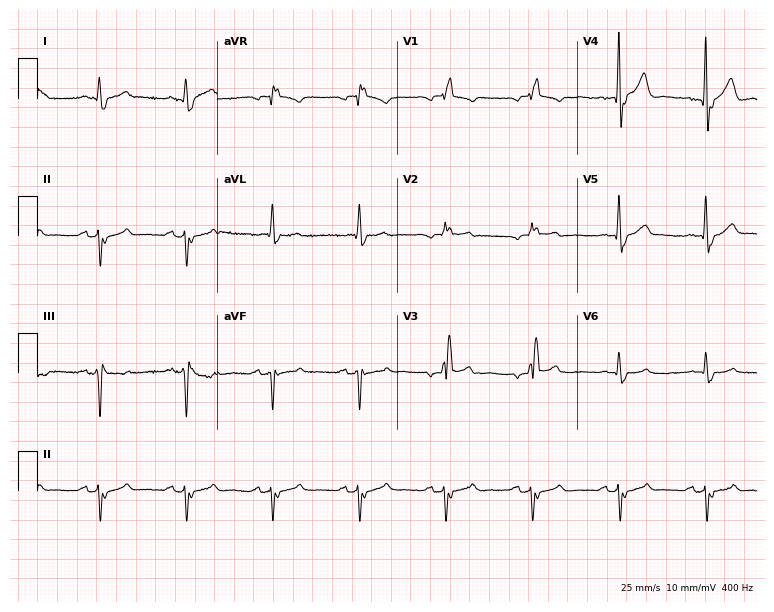
ECG (7.3-second recording at 400 Hz) — a 74-year-old female. Findings include right bundle branch block.